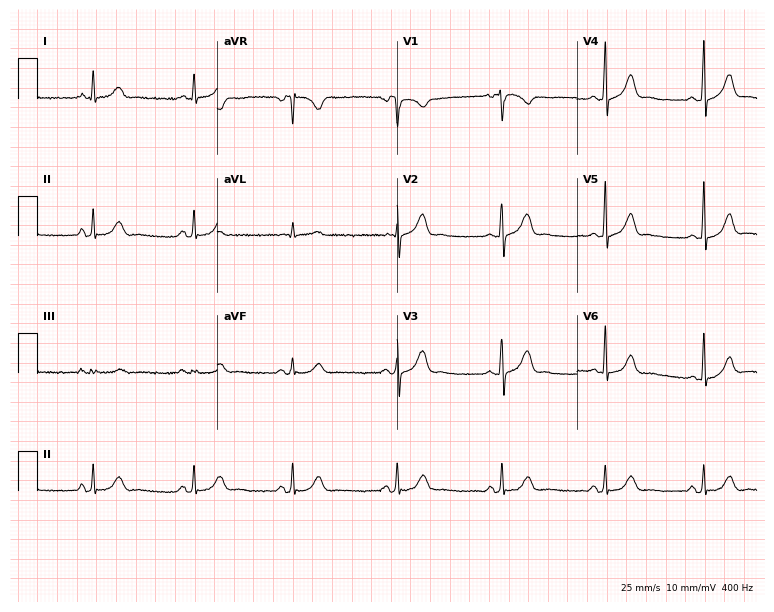
Resting 12-lead electrocardiogram (7.3-second recording at 400 Hz). Patient: a 30-year-old female. Read as a normal ECG.